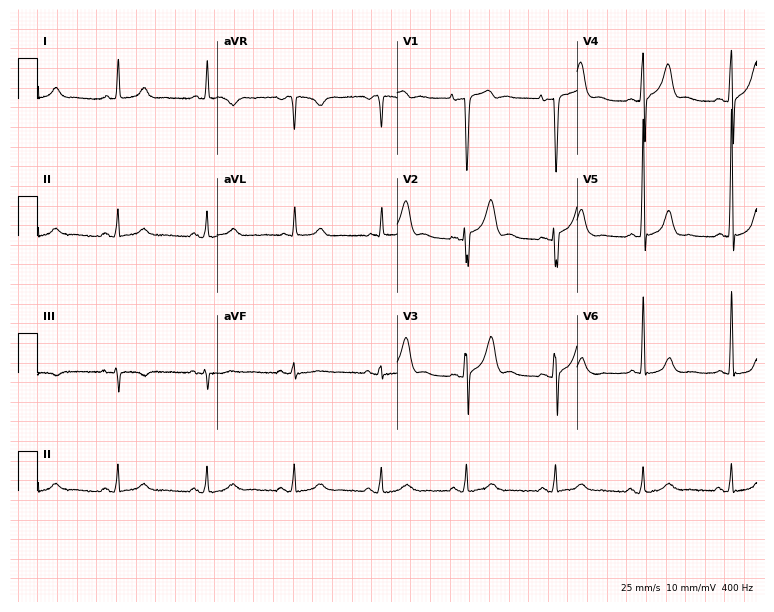
Standard 12-lead ECG recorded from a male, 59 years old. None of these six findings is recorded: first-degree AV block, right bundle branch block (RBBB), left bundle branch block (LBBB), sinus bradycardia, atrial fibrillation (AF), sinus tachycardia.